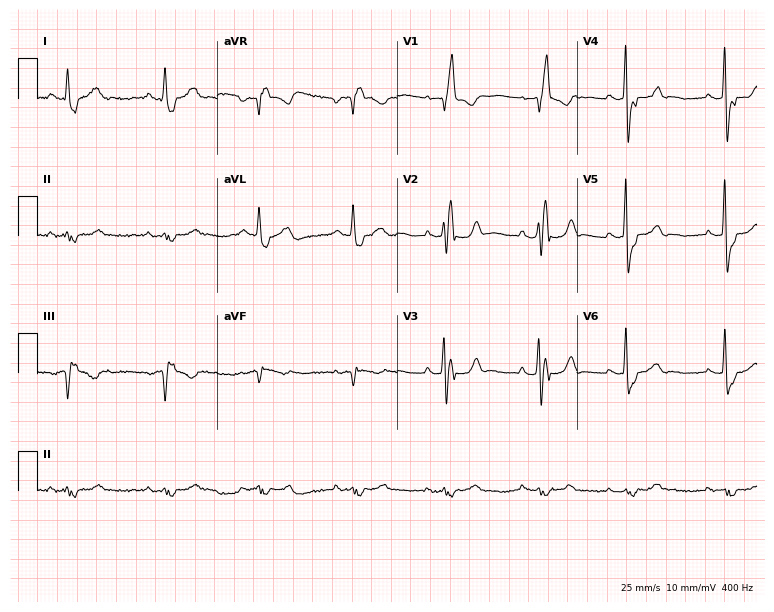
Standard 12-lead ECG recorded from a 77-year-old man. The tracing shows right bundle branch block.